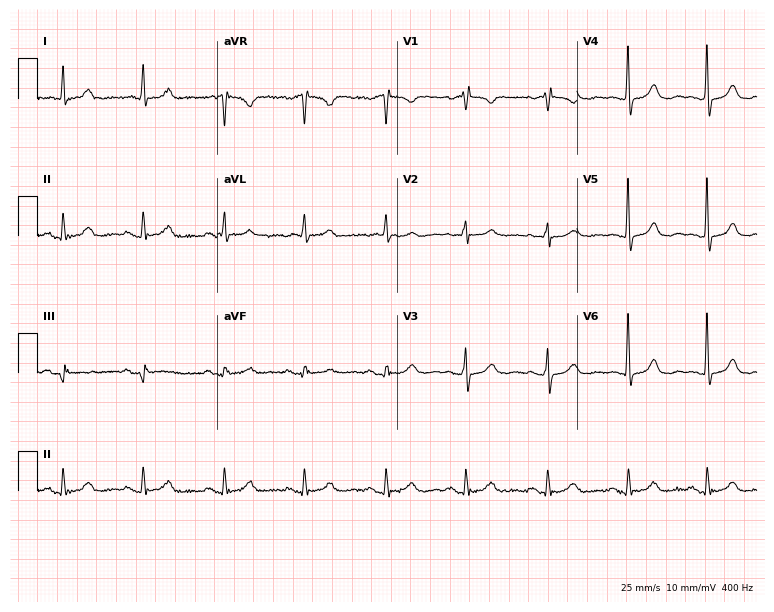
12-lead ECG from a woman, 78 years old. No first-degree AV block, right bundle branch block (RBBB), left bundle branch block (LBBB), sinus bradycardia, atrial fibrillation (AF) or sinus tachycardia recorded for this tracing. Findings outside these six are not listed.